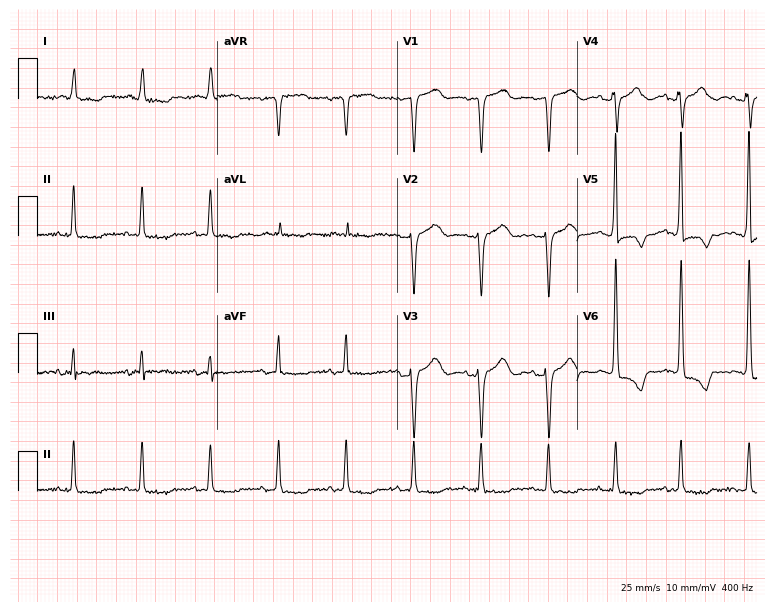
12-lead ECG from a female, 68 years old. Screened for six findings — first-degree AV block, right bundle branch block, left bundle branch block, sinus bradycardia, atrial fibrillation, sinus tachycardia — none is recorded.